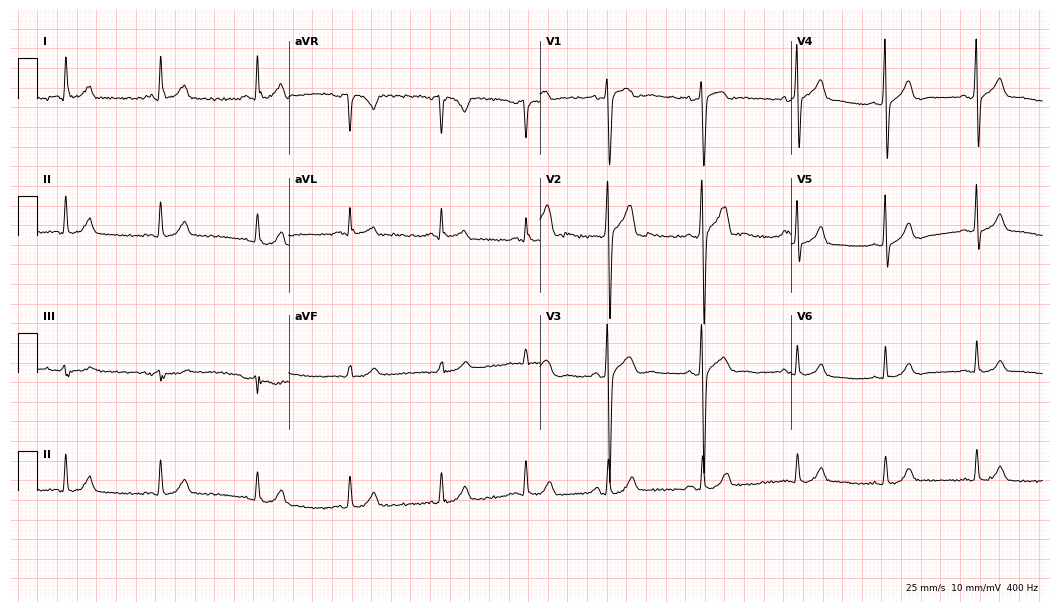
Standard 12-lead ECG recorded from a 29-year-old male. Read as a normal ECG.